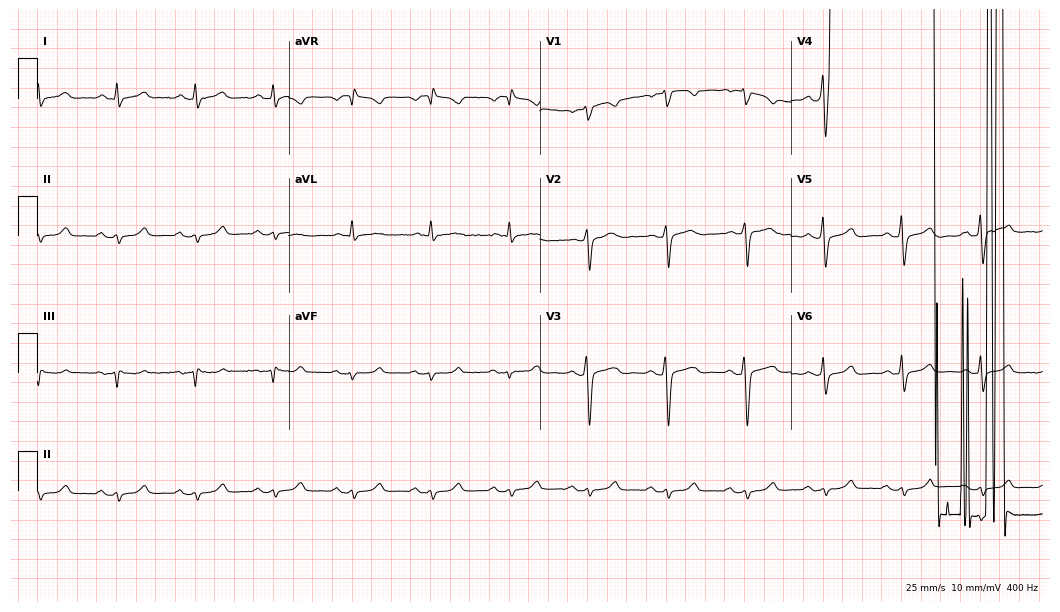
ECG (10.2-second recording at 400 Hz) — a 57-year-old male patient. Screened for six findings — first-degree AV block, right bundle branch block, left bundle branch block, sinus bradycardia, atrial fibrillation, sinus tachycardia — none is recorded.